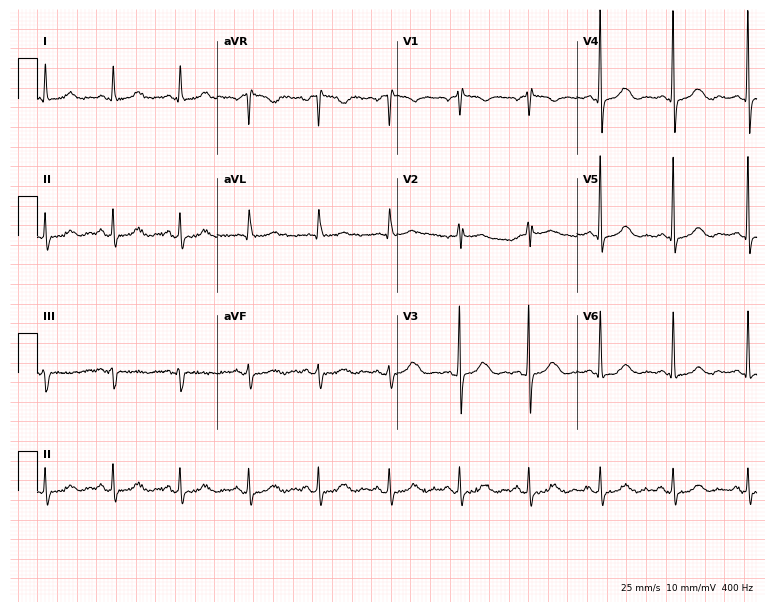
Resting 12-lead electrocardiogram. Patient: a woman, 61 years old. None of these six findings is recorded: first-degree AV block, right bundle branch block (RBBB), left bundle branch block (LBBB), sinus bradycardia, atrial fibrillation (AF), sinus tachycardia.